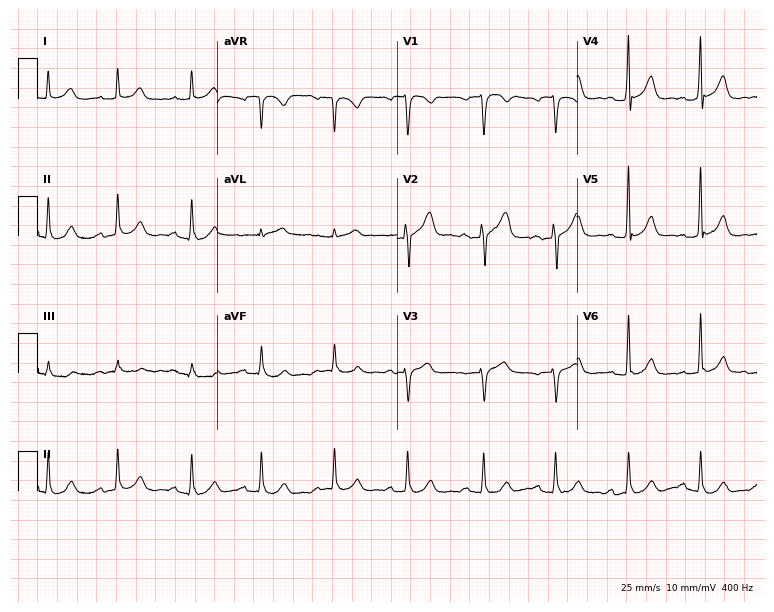
Resting 12-lead electrocardiogram. Patient: a man, 72 years old. Read as a normal ECG.